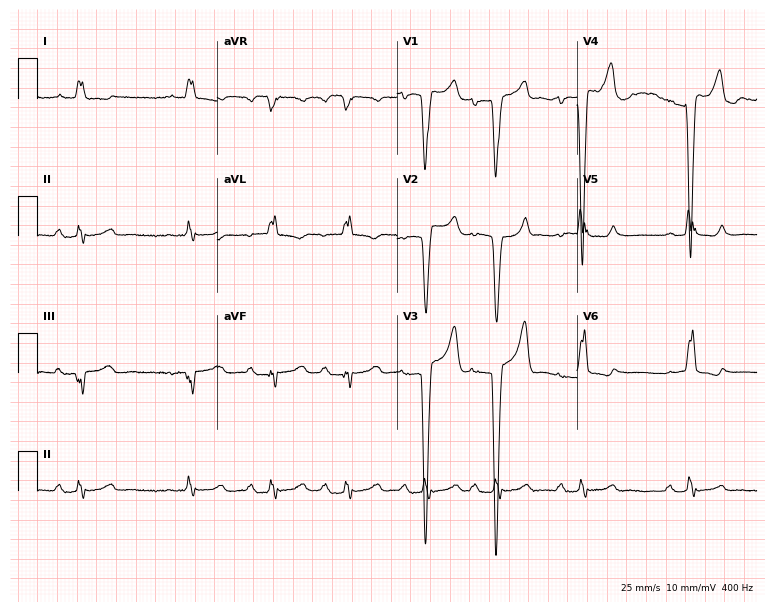
12-lead ECG from a female, 72 years old. Screened for six findings — first-degree AV block, right bundle branch block (RBBB), left bundle branch block (LBBB), sinus bradycardia, atrial fibrillation (AF), sinus tachycardia — none is recorded. Only these six findings were labelled.